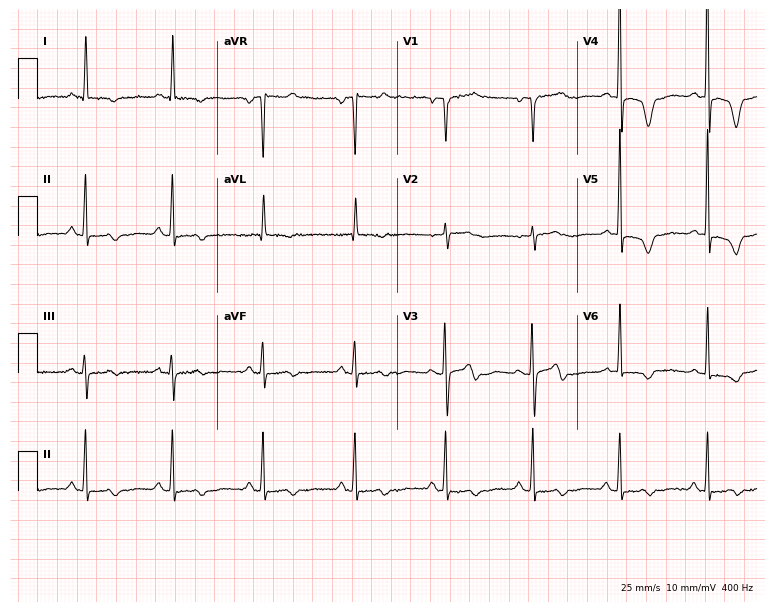
12-lead ECG from a 79-year-old female patient. No first-degree AV block, right bundle branch block (RBBB), left bundle branch block (LBBB), sinus bradycardia, atrial fibrillation (AF) or sinus tachycardia recorded for this tracing. Other findings, if any, are not listed.